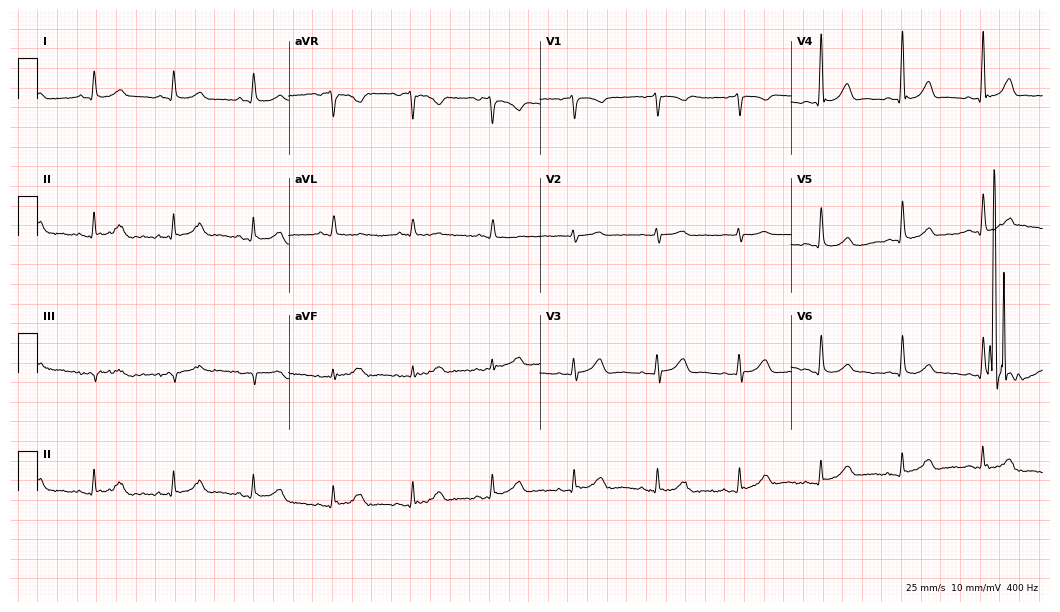
12-lead ECG from a 69-year-old female. Recorded interpretation: within normal limits.